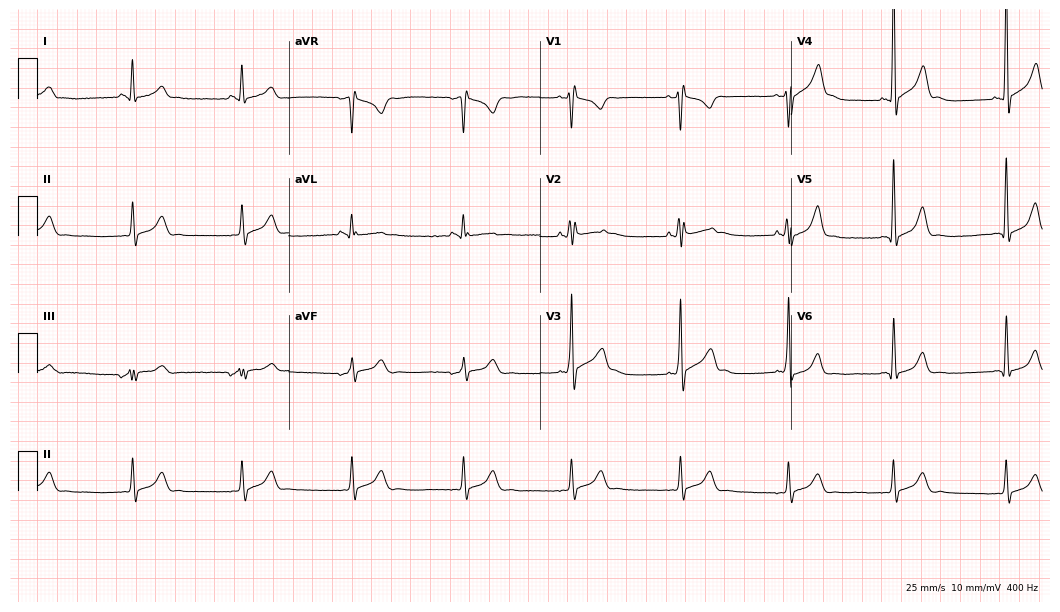
Standard 12-lead ECG recorded from a man, 29 years old. None of these six findings is recorded: first-degree AV block, right bundle branch block (RBBB), left bundle branch block (LBBB), sinus bradycardia, atrial fibrillation (AF), sinus tachycardia.